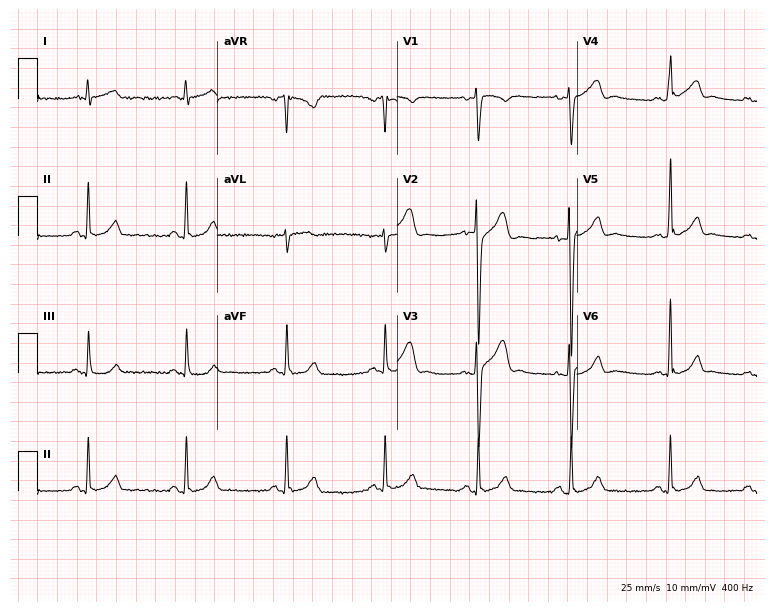
Resting 12-lead electrocardiogram (7.3-second recording at 400 Hz). Patient: a male, 26 years old. Read as a normal ECG.